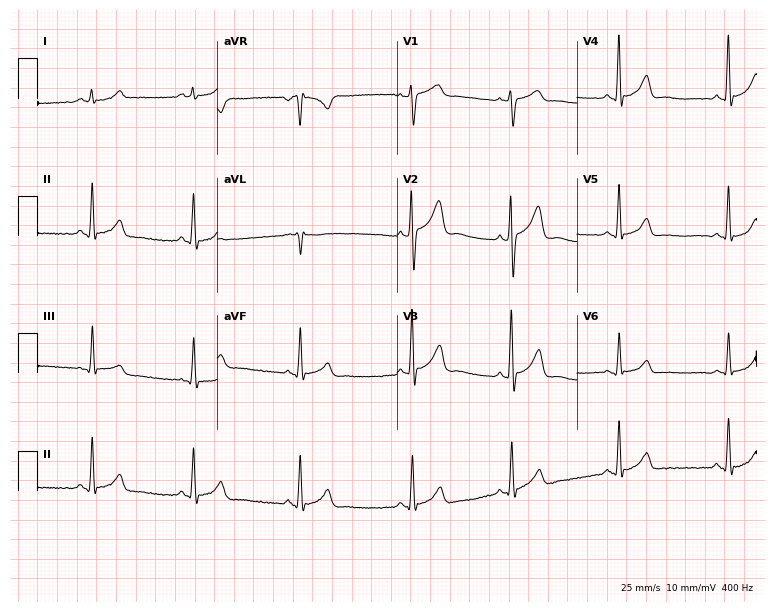
12-lead ECG from a man, 23 years old (7.3-second recording at 400 Hz). No first-degree AV block, right bundle branch block, left bundle branch block, sinus bradycardia, atrial fibrillation or sinus tachycardia recorded for this tracing.